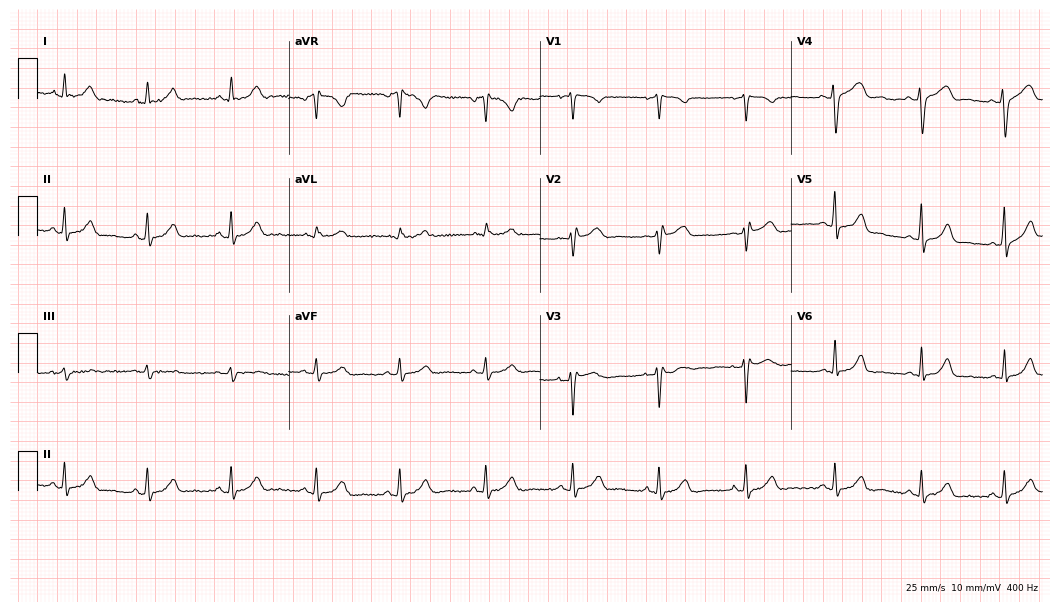
Standard 12-lead ECG recorded from a woman, 37 years old (10.2-second recording at 400 Hz). None of these six findings is recorded: first-degree AV block, right bundle branch block, left bundle branch block, sinus bradycardia, atrial fibrillation, sinus tachycardia.